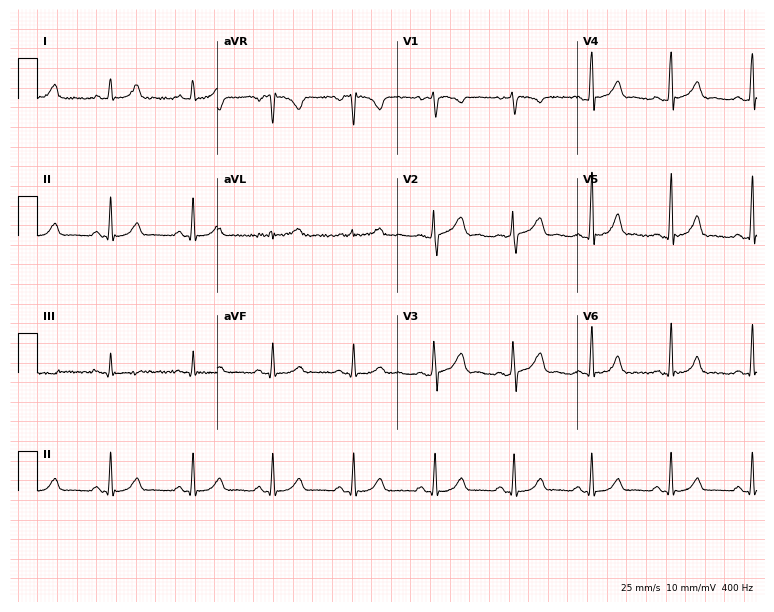
ECG — a female, 33 years old. Labelled as a normal ECG.